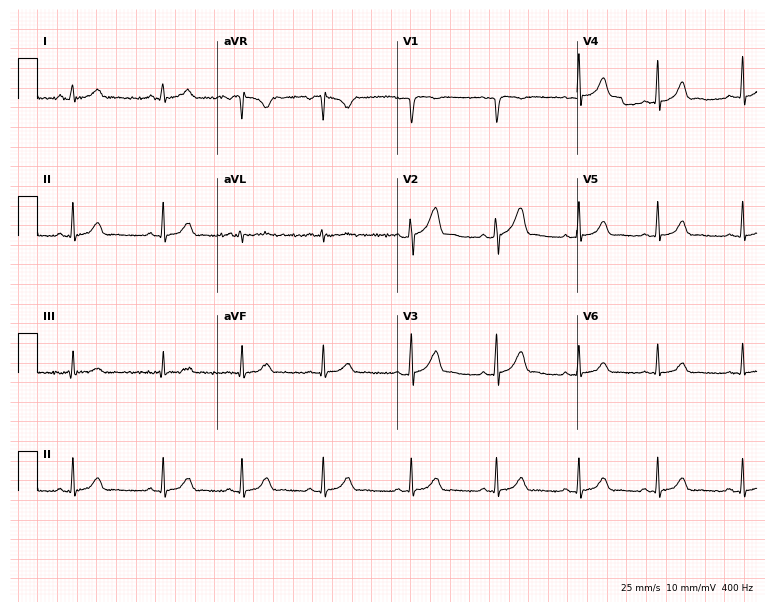
Resting 12-lead electrocardiogram. Patient: a 27-year-old female. Read as a normal ECG.